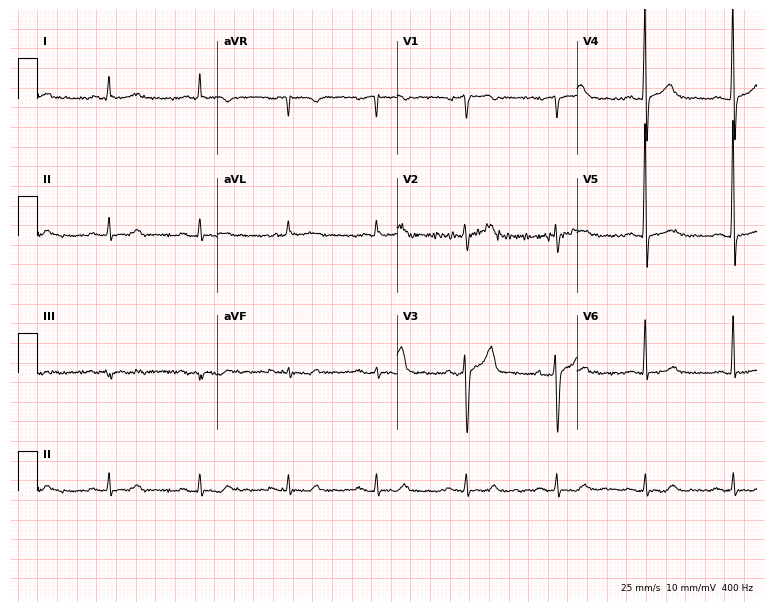
Electrocardiogram (7.3-second recording at 400 Hz), a 54-year-old male patient. Overall reading on record: normal ECG.